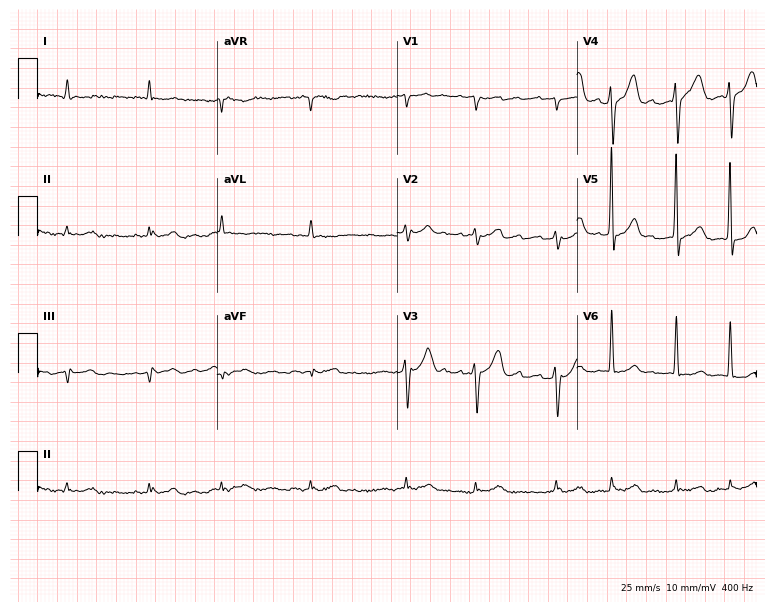
Standard 12-lead ECG recorded from a 59-year-old male patient. The tracing shows atrial fibrillation.